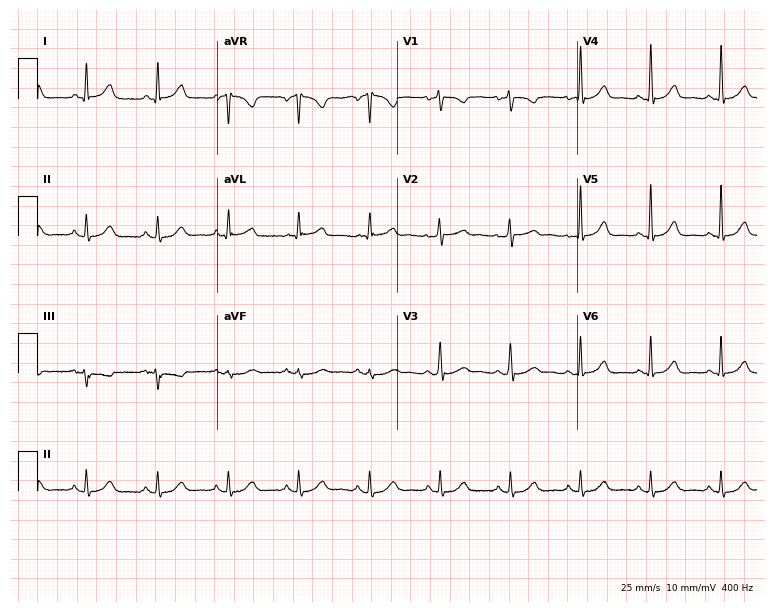
12-lead ECG from a 70-year-old man. Labelled as a normal ECG.